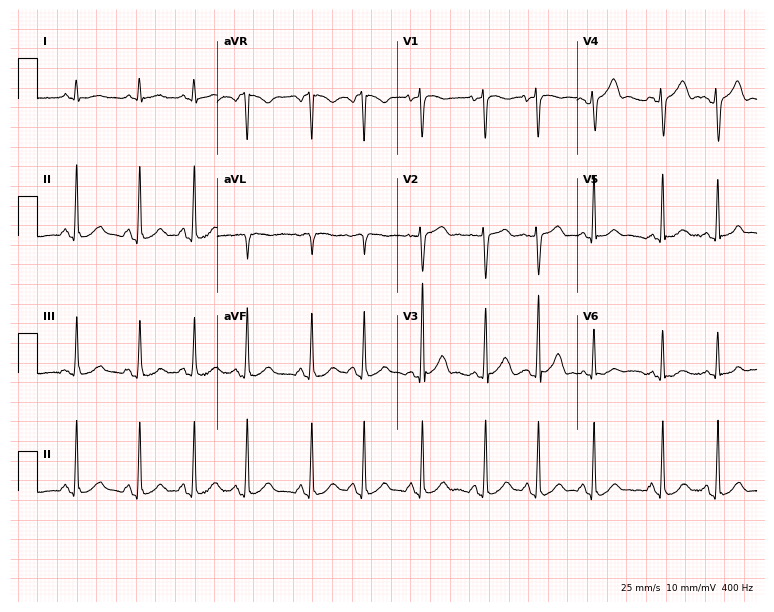
Standard 12-lead ECG recorded from a woman, 74 years old (7.3-second recording at 400 Hz). None of these six findings is recorded: first-degree AV block, right bundle branch block, left bundle branch block, sinus bradycardia, atrial fibrillation, sinus tachycardia. Only these six findings were labelled.